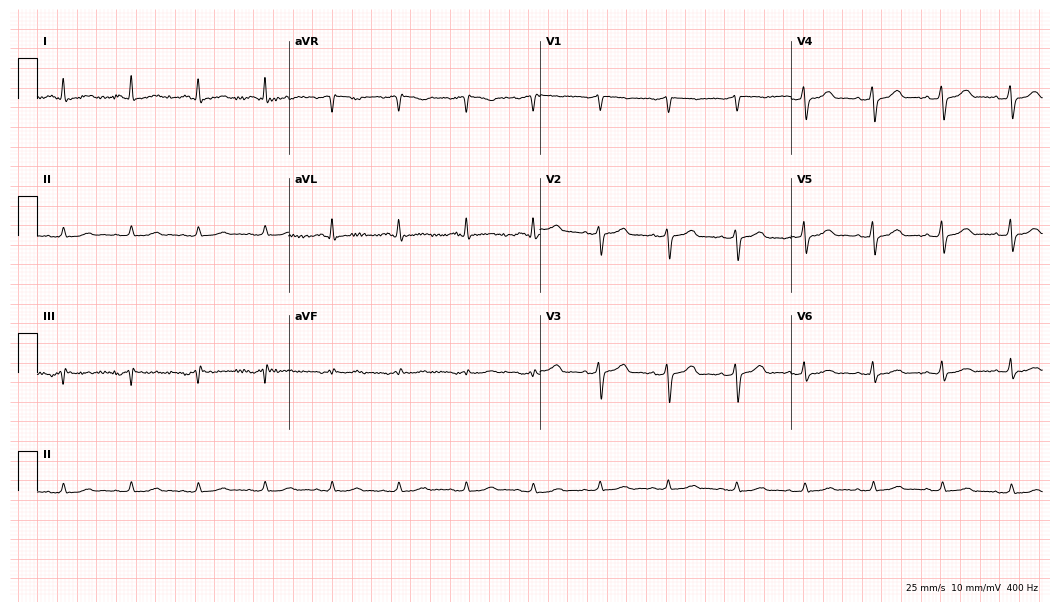
12-lead ECG (10.2-second recording at 400 Hz) from a man, 53 years old. Labelled as a normal ECG.